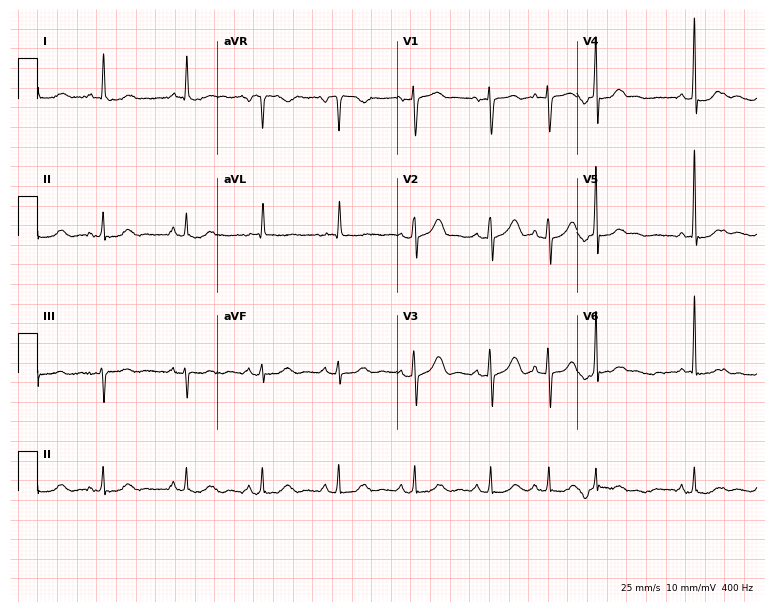
Standard 12-lead ECG recorded from an 82-year-old woman (7.3-second recording at 400 Hz). None of these six findings is recorded: first-degree AV block, right bundle branch block, left bundle branch block, sinus bradycardia, atrial fibrillation, sinus tachycardia. Findings outside these six are not listed.